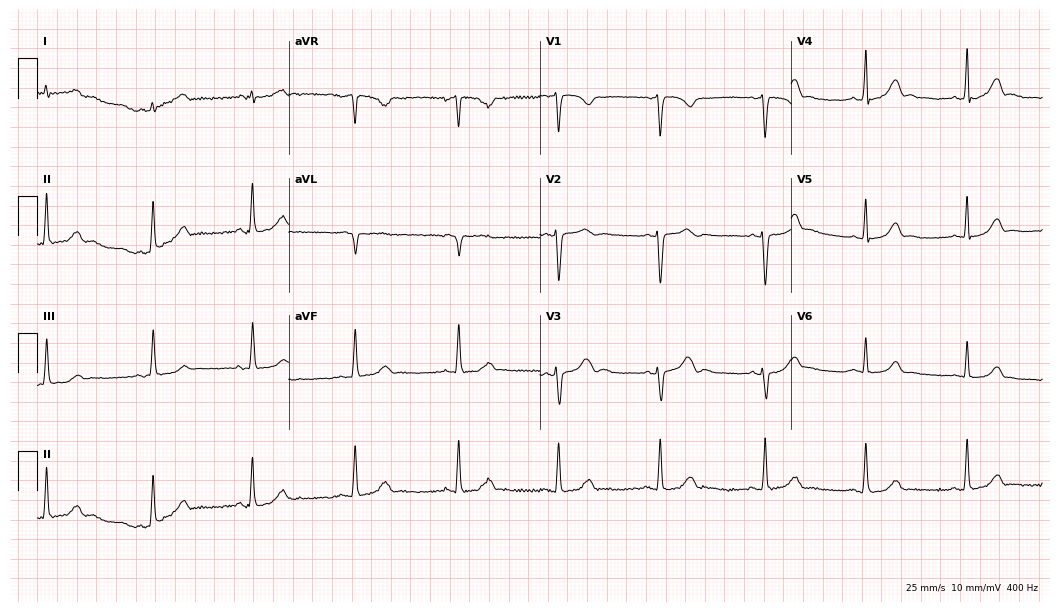
12-lead ECG from a 19-year-old female patient (10.2-second recording at 400 Hz). Recorded interpretation: within normal limits.